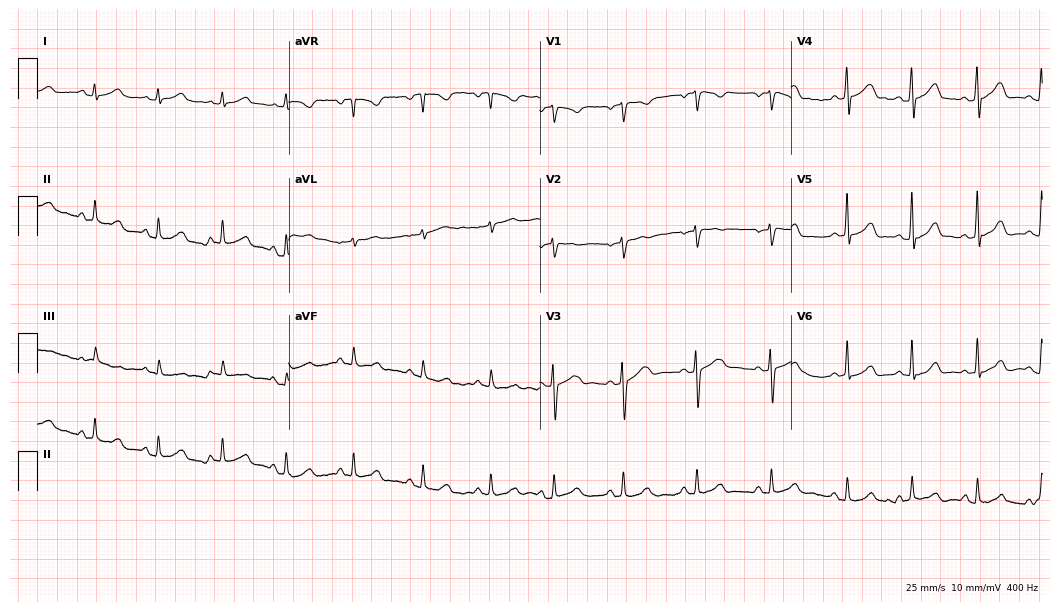
12-lead ECG from a 30-year-old woman (10.2-second recording at 400 Hz). Recorded interpretation: within normal limits.